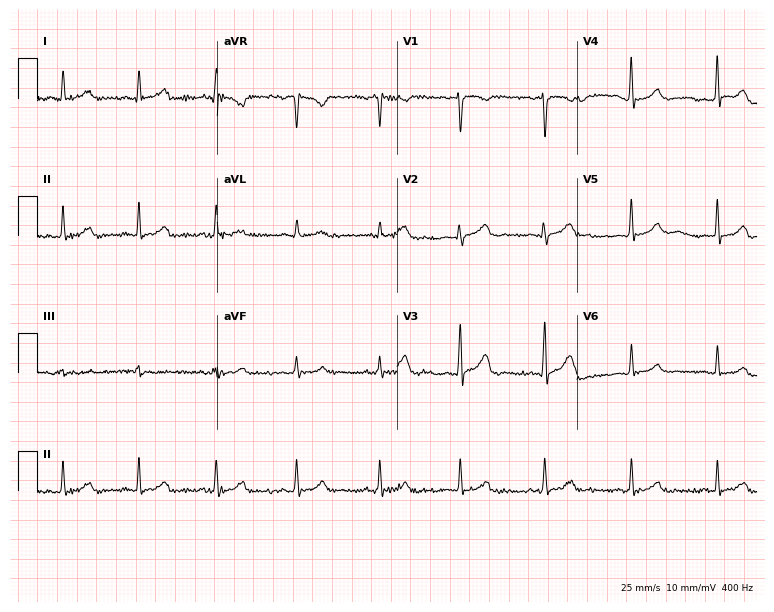
12-lead ECG from a female, 50 years old. Recorded interpretation: within normal limits.